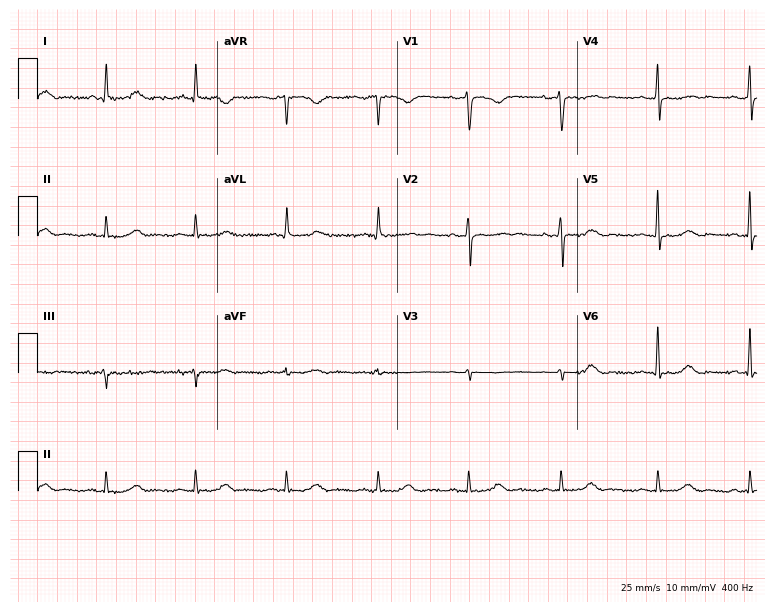
12-lead ECG from a 50-year-old female. Labelled as a normal ECG.